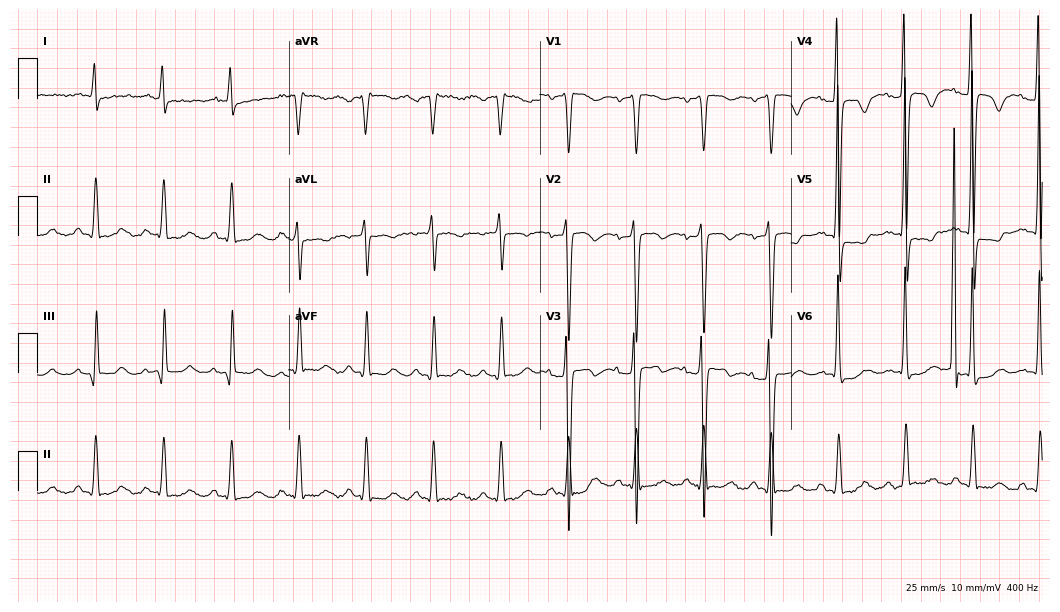
Standard 12-lead ECG recorded from an 84-year-old male. None of these six findings is recorded: first-degree AV block, right bundle branch block, left bundle branch block, sinus bradycardia, atrial fibrillation, sinus tachycardia.